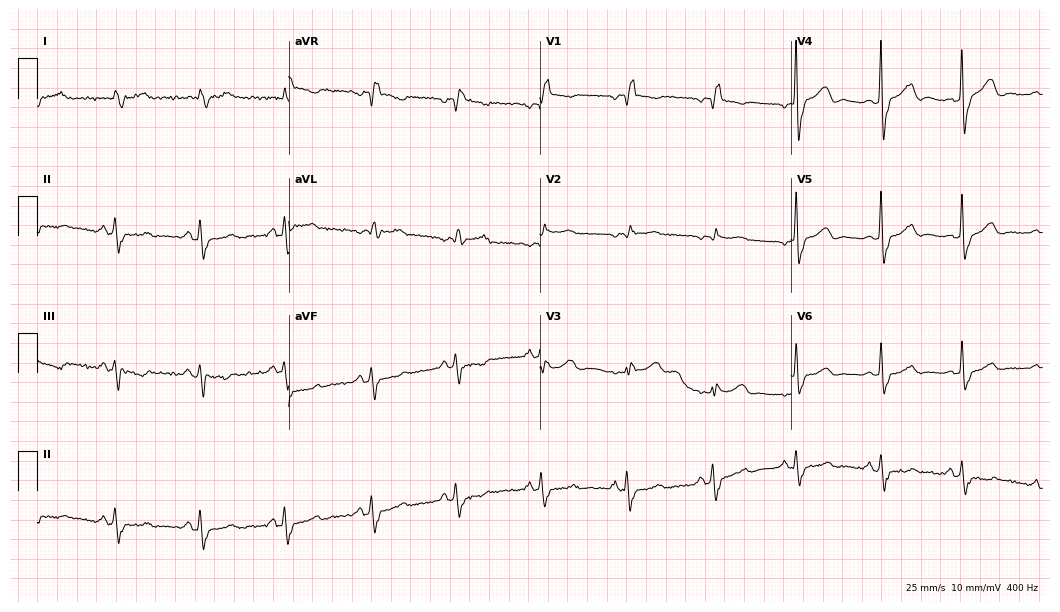
12-lead ECG from a 77-year-old female patient. Shows right bundle branch block.